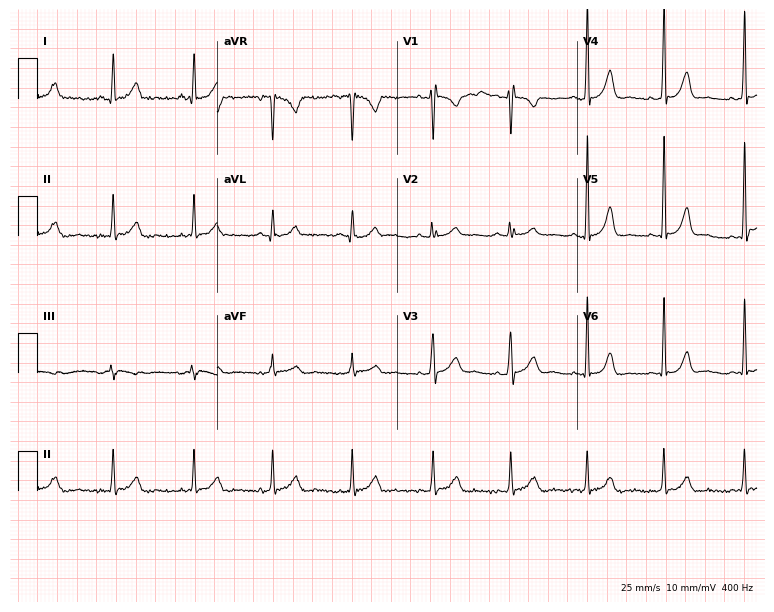
ECG (7.3-second recording at 400 Hz) — a 35-year-old woman. Screened for six findings — first-degree AV block, right bundle branch block (RBBB), left bundle branch block (LBBB), sinus bradycardia, atrial fibrillation (AF), sinus tachycardia — none is recorded.